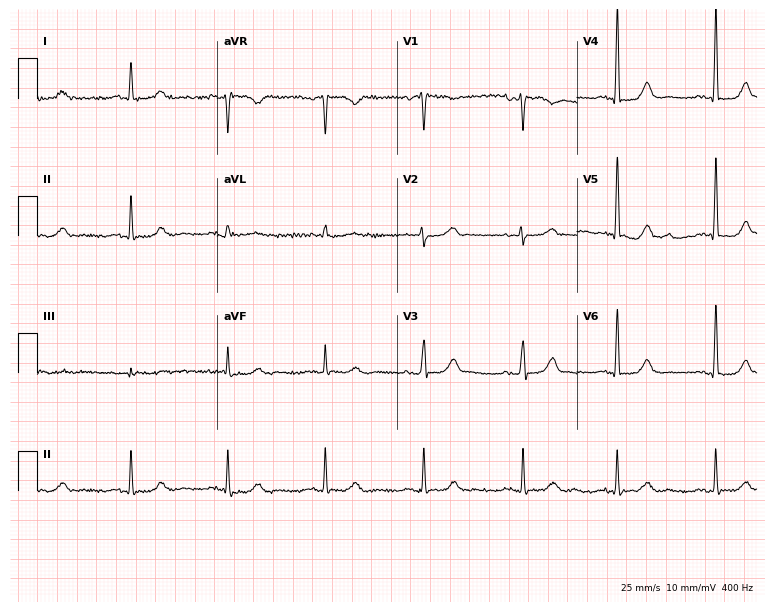
ECG — a female patient, 59 years old. Screened for six findings — first-degree AV block, right bundle branch block (RBBB), left bundle branch block (LBBB), sinus bradycardia, atrial fibrillation (AF), sinus tachycardia — none is recorded. Other findings, if any, are not listed.